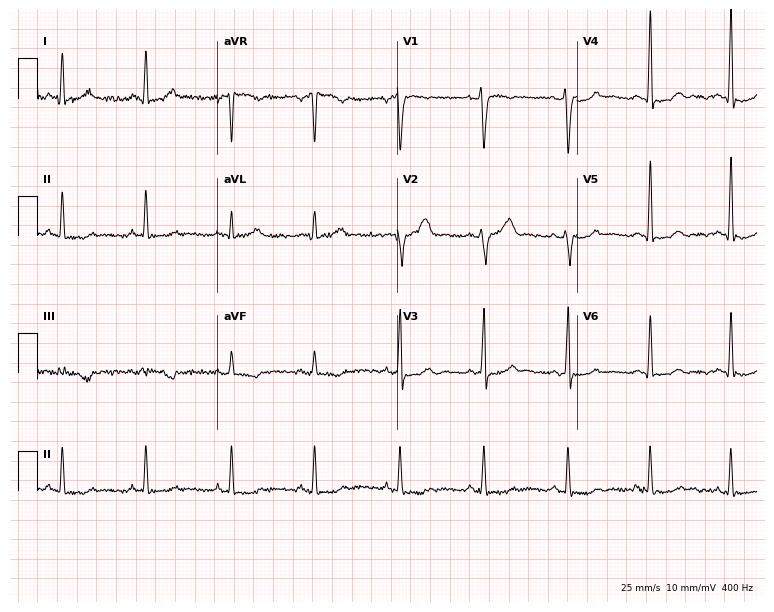
12-lead ECG from a 31-year-old man. Screened for six findings — first-degree AV block, right bundle branch block (RBBB), left bundle branch block (LBBB), sinus bradycardia, atrial fibrillation (AF), sinus tachycardia — none is recorded. Other findings, if any, are not listed.